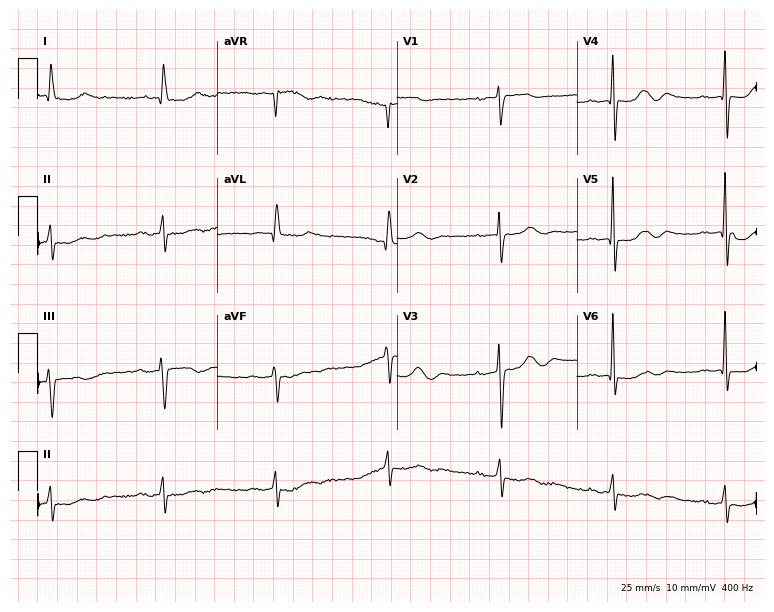
12-lead ECG (7.3-second recording at 400 Hz) from an 80-year-old woman. Screened for six findings — first-degree AV block, right bundle branch block (RBBB), left bundle branch block (LBBB), sinus bradycardia, atrial fibrillation (AF), sinus tachycardia — none is recorded. Only these six findings were labelled.